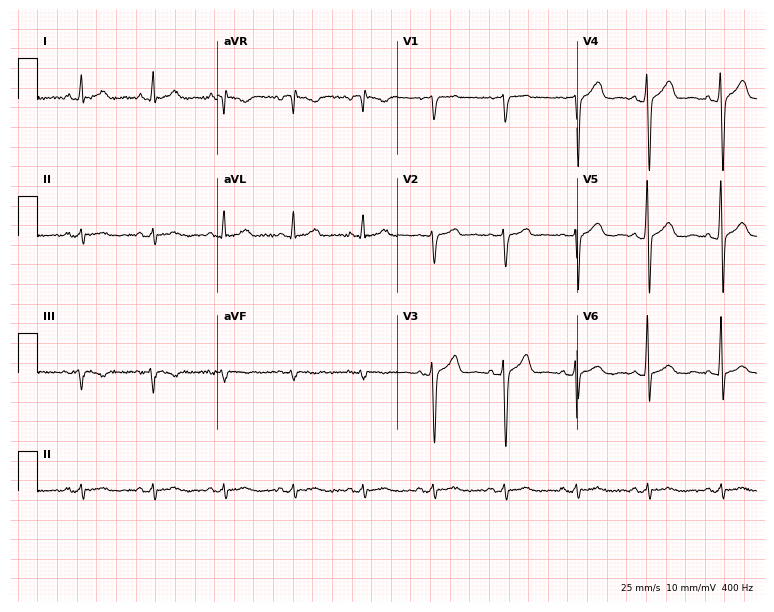
12-lead ECG (7.3-second recording at 400 Hz) from a 44-year-old male patient. Labelled as a normal ECG.